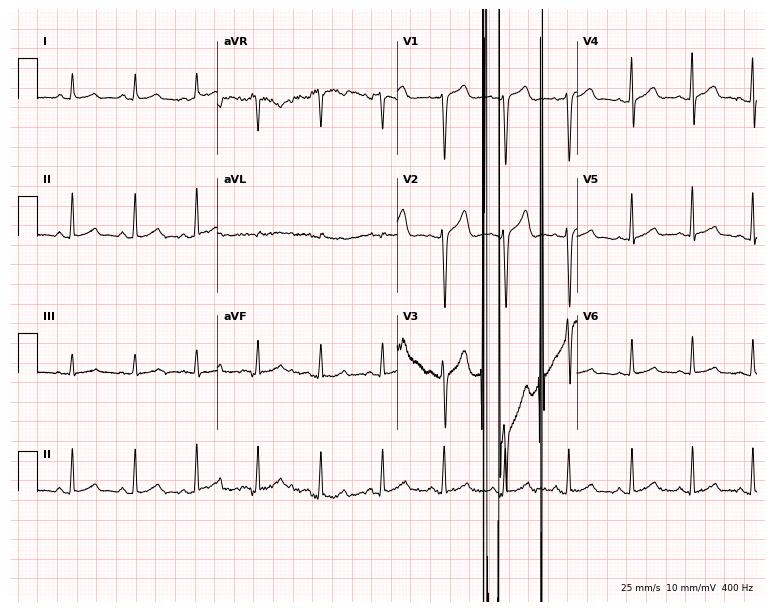
12-lead ECG from a 29-year-old female patient. No first-degree AV block, right bundle branch block (RBBB), left bundle branch block (LBBB), sinus bradycardia, atrial fibrillation (AF) or sinus tachycardia recorded for this tracing.